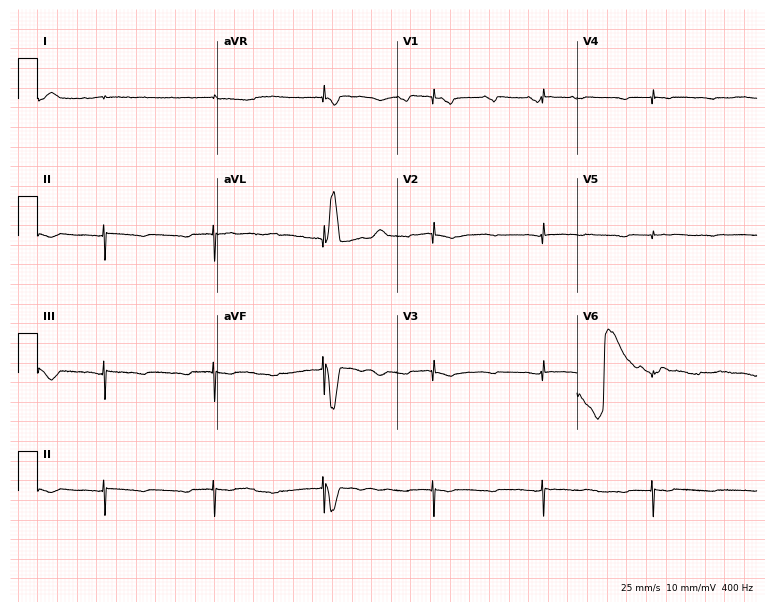
12-lead ECG (7.3-second recording at 400 Hz) from an 82-year-old female. Screened for six findings — first-degree AV block, right bundle branch block, left bundle branch block, sinus bradycardia, atrial fibrillation, sinus tachycardia — none is recorded. Only these six findings were labelled.